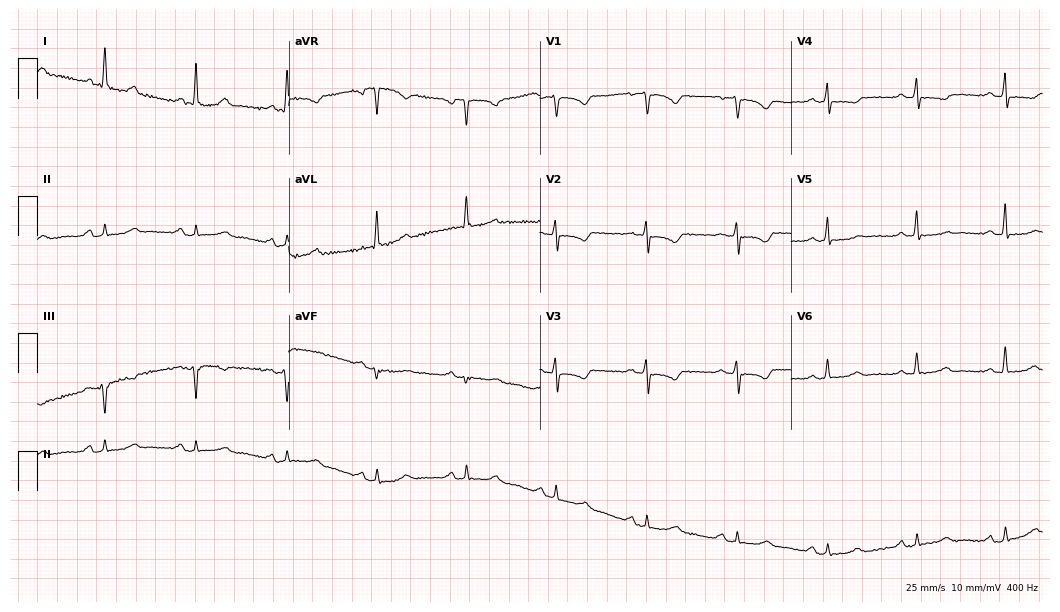
Electrocardiogram, a 63-year-old female. Of the six screened findings (first-degree AV block, right bundle branch block (RBBB), left bundle branch block (LBBB), sinus bradycardia, atrial fibrillation (AF), sinus tachycardia), none is recorded.